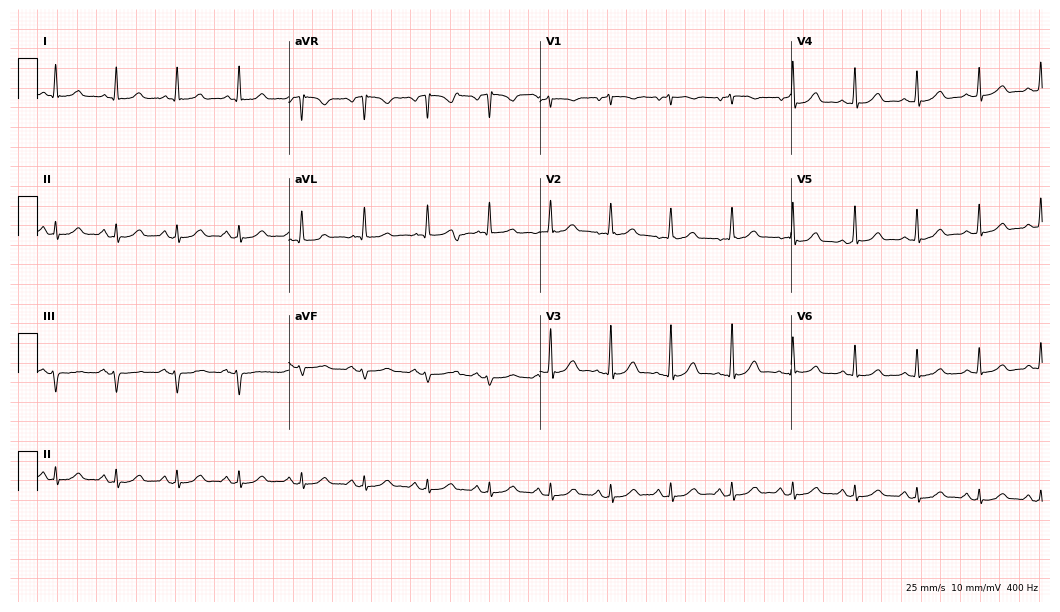
Standard 12-lead ECG recorded from a 75-year-old female. Read as a normal ECG.